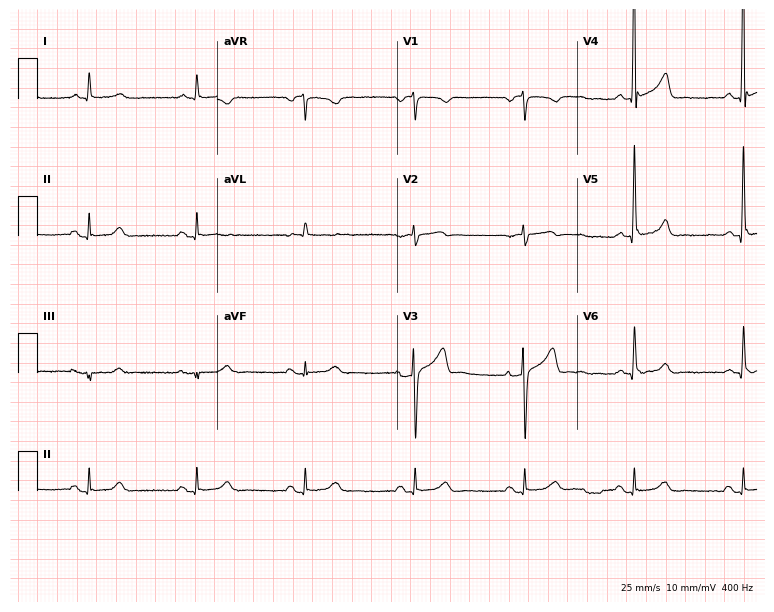
Electrocardiogram, a male patient, 84 years old. Of the six screened findings (first-degree AV block, right bundle branch block, left bundle branch block, sinus bradycardia, atrial fibrillation, sinus tachycardia), none is recorded. Other findings, if any, are not listed.